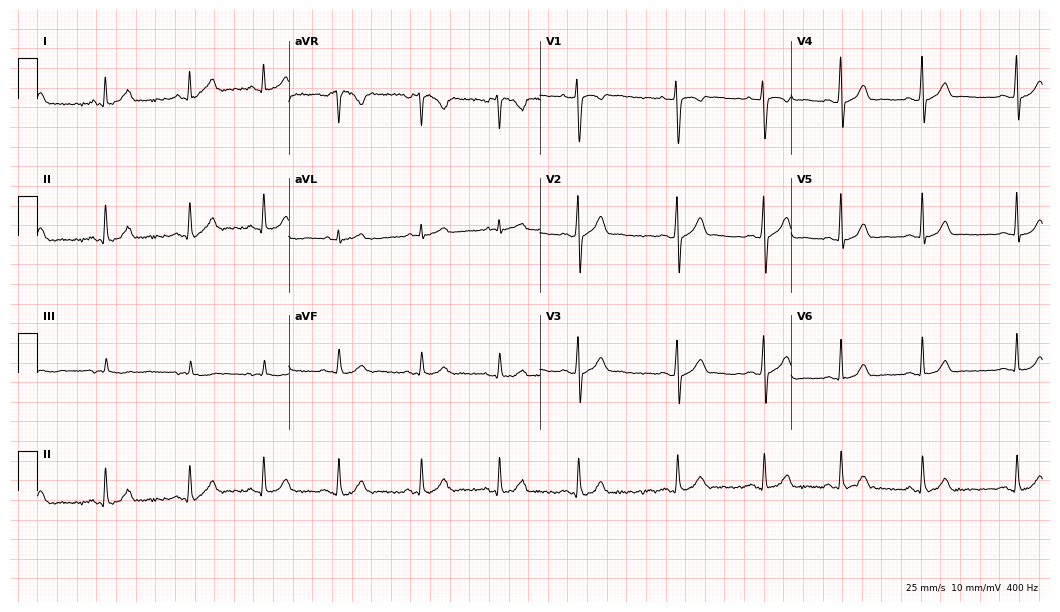
Standard 12-lead ECG recorded from a woman, 27 years old. Read as a normal ECG.